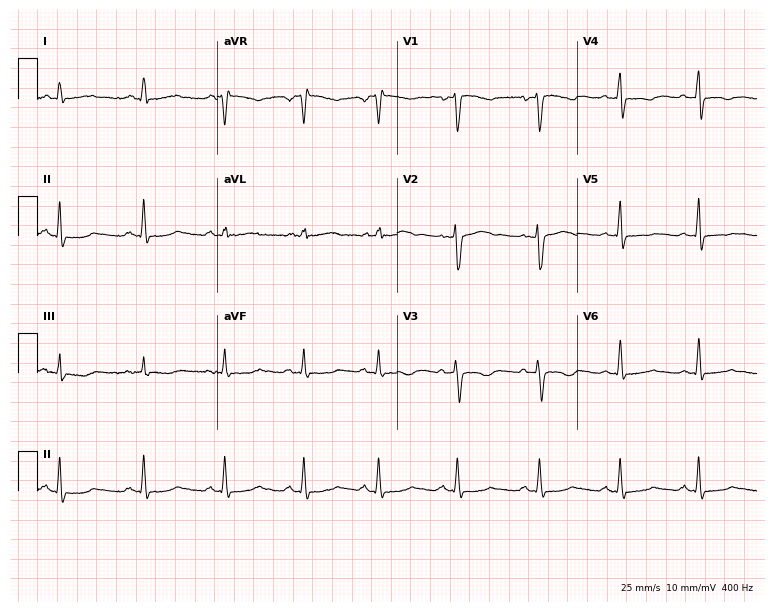
12-lead ECG (7.3-second recording at 400 Hz) from a 47-year-old woman. Screened for six findings — first-degree AV block, right bundle branch block, left bundle branch block, sinus bradycardia, atrial fibrillation, sinus tachycardia — none is recorded. Only these six findings were labelled.